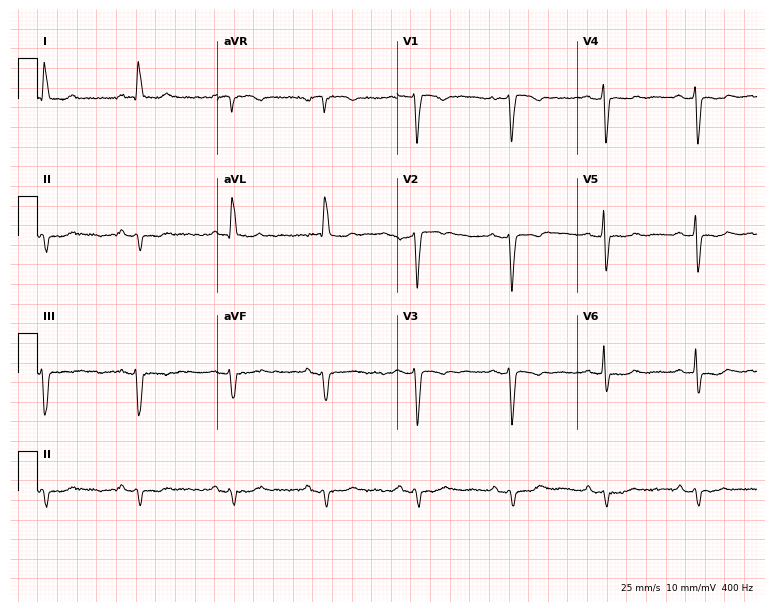
Resting 12-lead electrocardiogram (7.3-second recording at 400 Hz). Patient: a woman, 68 years old. None of these six findings is recorded: first-degree AV block, right bundle branch block, left bundle branch block, sinus bradycardia, atrial fibrillation, sinus tachycardia.